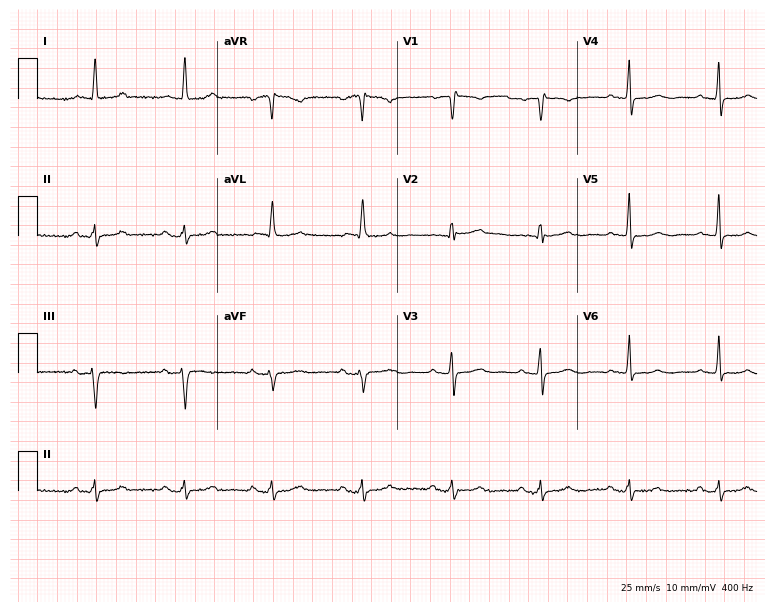
ECG — an 80-year-old female. Screened for six findings — first-degree AV block, right bundle branch block (RBBB), left bundle branch block (LBBB), sinus bradycardia, atrial fibrillation (AF), sinus tachycardia — none is recorded. Only these six findings were labelled.